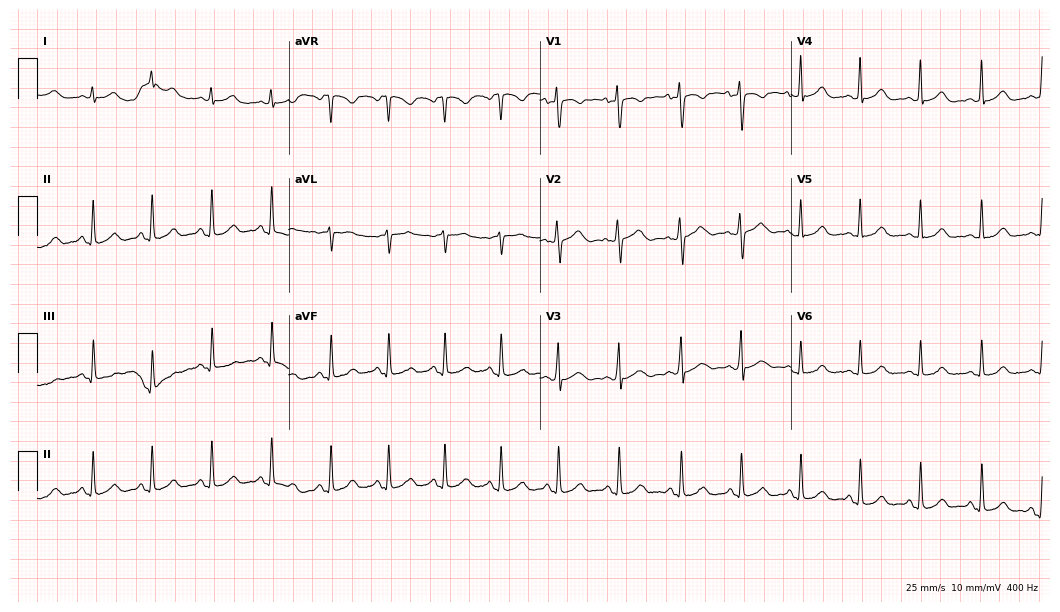
Electrocardiogram (10.2-second recording at 400 Hz), a woman, 19 years old. Overall reading on record: normal ECG.